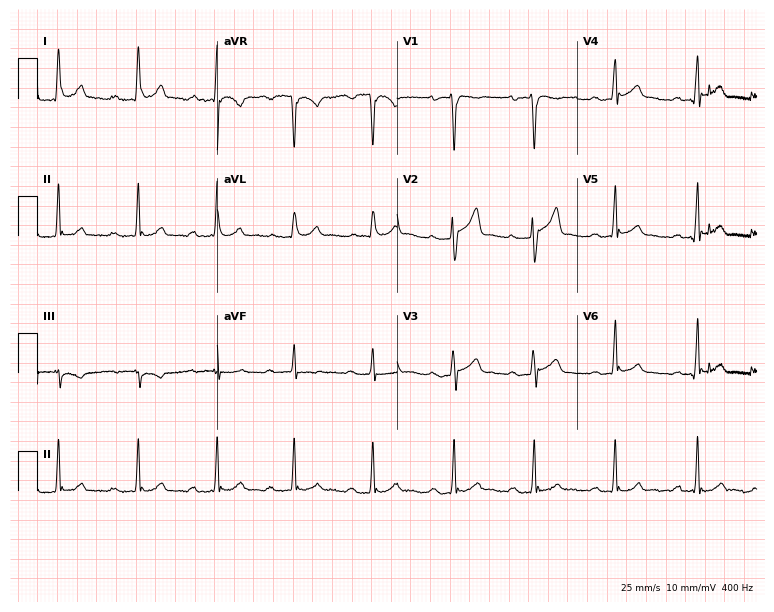
Standard 12-lead ECG recorded from a 32-year-old man (7.3-second recording at 400 Hz). The tracing shows first-degree AV block.